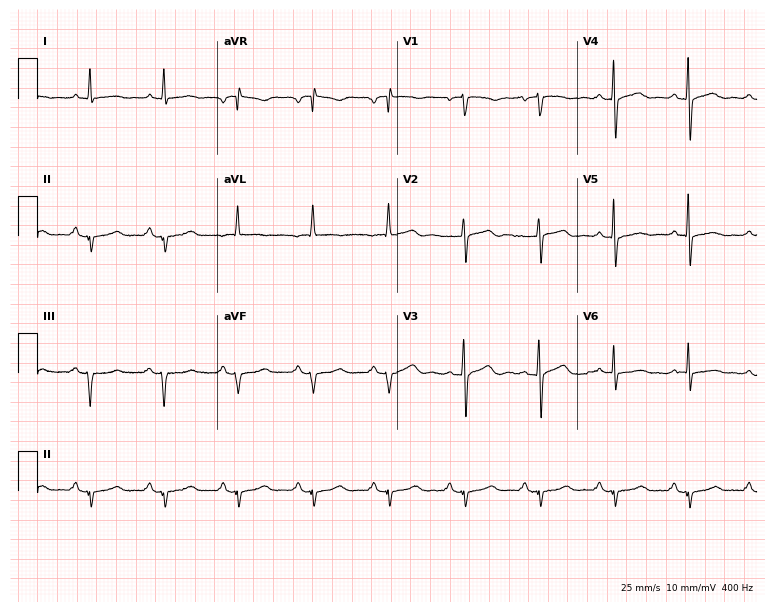
12-lead ECG (7.3-second recording at 400 Hz) from a man, 70 years old. Screened for six findings — first-degree AV block, right bundle branch block, left bundle branch block, sinus bradycardia, atrial fibrillation, sinus tachycardia — none is recorded.